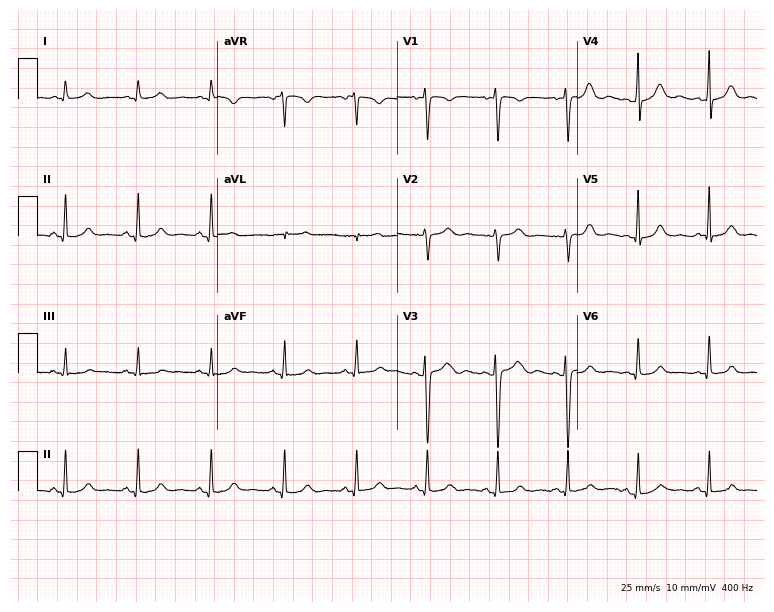
12-lead ECG (7.3-second recording at 400 Hz) from a 45-year-old woman. Labelled as a normal ECG.